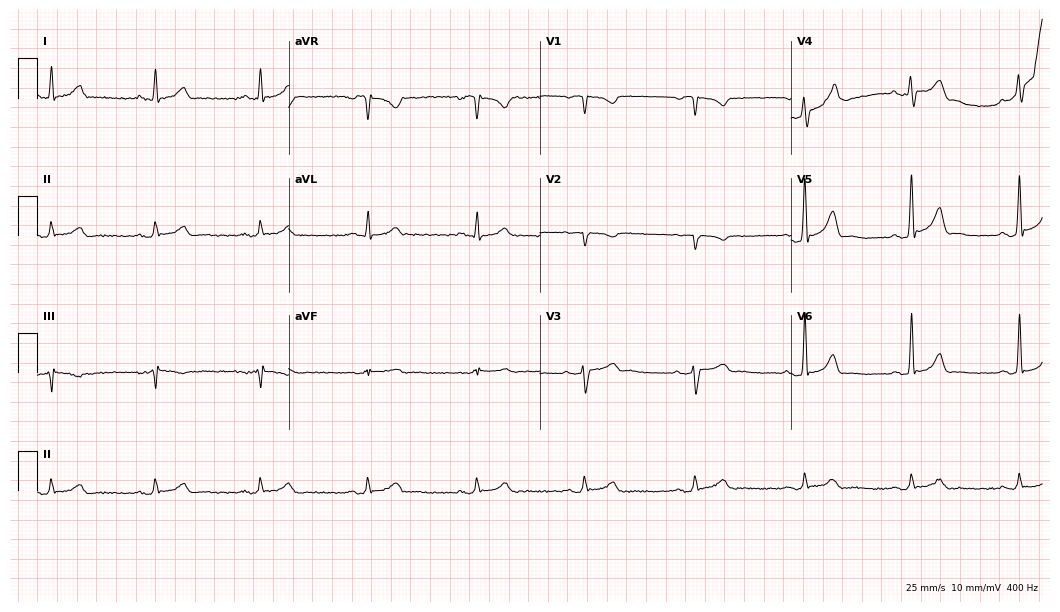
Standard 12-lead ECG recorded from a 43-year-old male (10.2-second recording at 400 Hz). Read as a normal ECG.